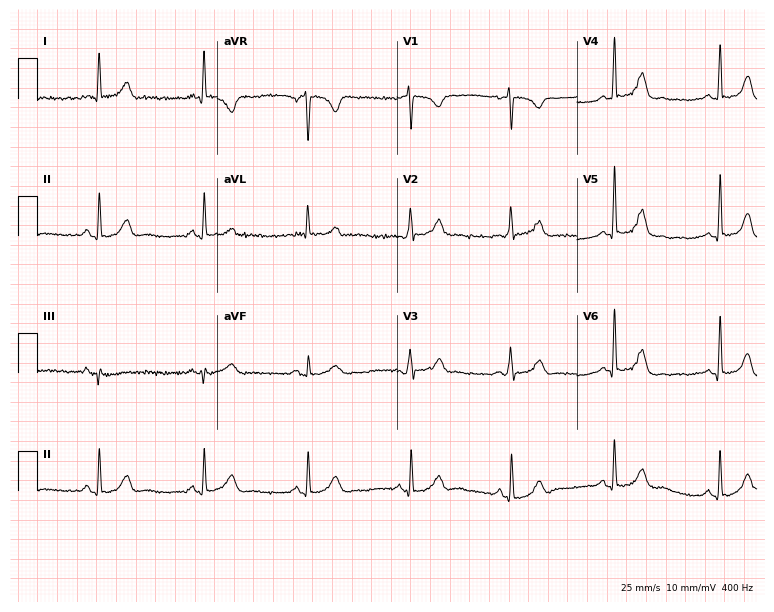
12-lead ECG from a 49-year-old woman. No first-degree AV block, right bundle branch block, left bundle branch block, sinus bradycardia, atrial fibrillation or sinus tachycardia recorded for this tracing.